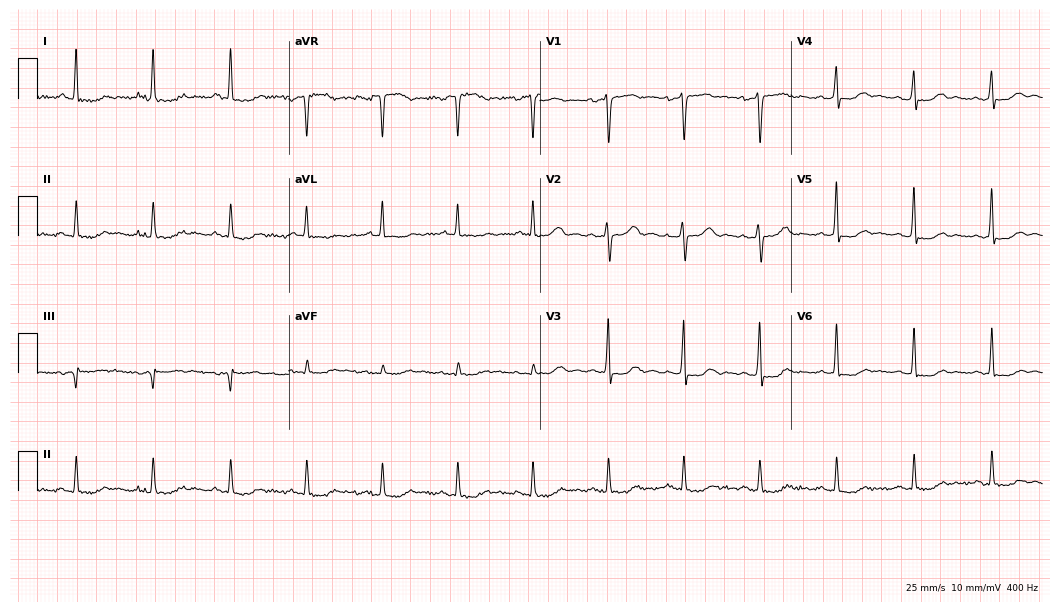
Electrocardiogram (10.2-second recording at 400 Hz), a 61-year-old female patient. Of the six screened findings (first-degree AV block, right bundle branch block, left bundle branch block, sinus bradycardia, atrial fibrillation, sinus tachycardia), none is recorded.